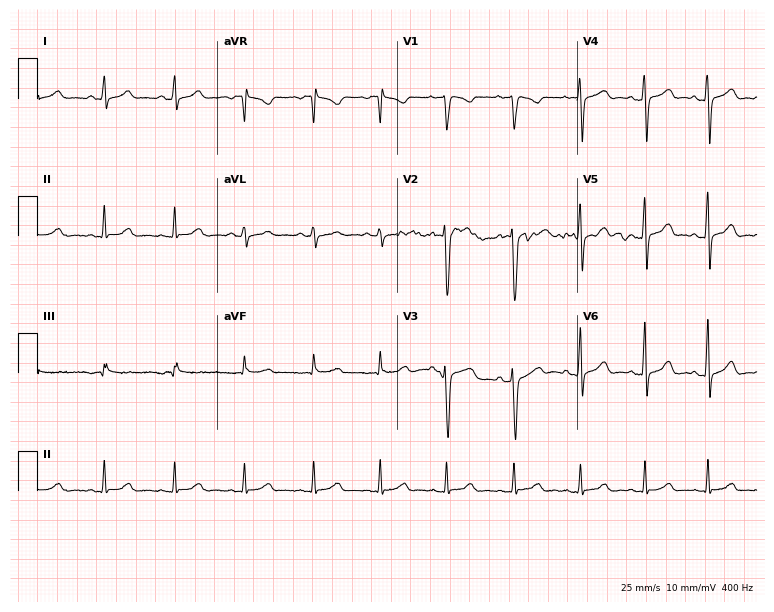
Standard 12-lead ECG recorded from a 33-year-old female patient (7.3-second recording at 400 Hz). Read as a normal ECG.